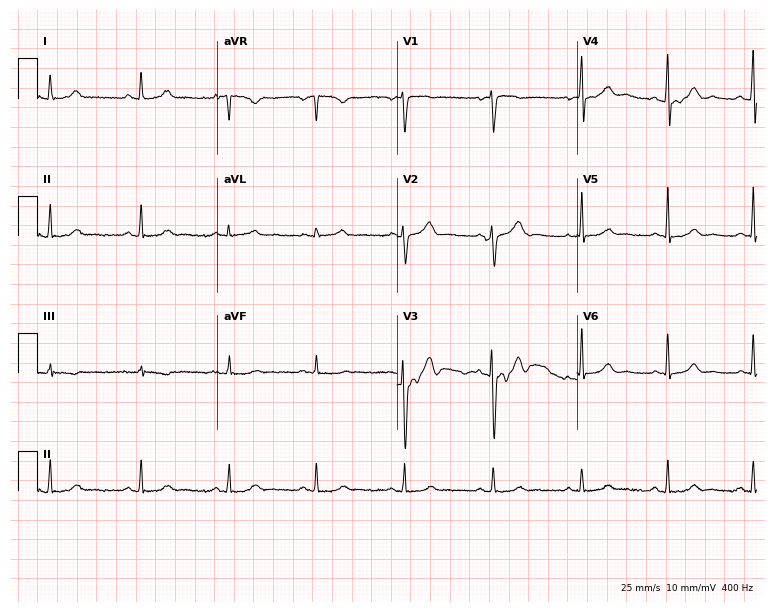
ECG — a 43-year-old female. Screened for six findings — first-degree AV block, right bundle branch block, left bundle branch block, sinus bradycardia, atrial fibrillation, sinus tachycardia — none is recorded.